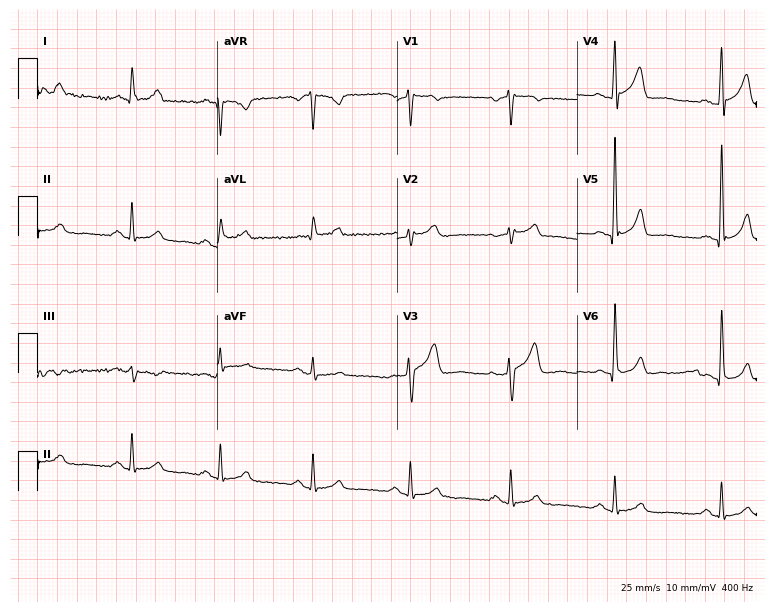
12-lead ECG from a 64-year-old male (7.3-second recording at 400 Hz). No first-degree AV block, right bundle branch block (RBBB), left bundle branch block (LBBB), sinus bradycardia, atrial fibrillation (AF) or sinus tachycardia recorded for this tracing. Findings outside these six are not listed.